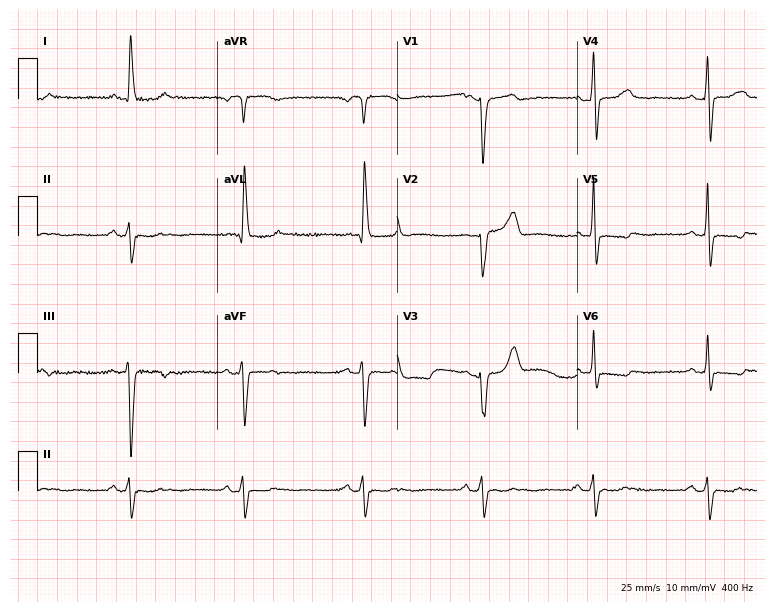
Standard 12-lead ECG recorded from a female, 61 years old (7.3-second recording at 400 Hz). None of these six findings is recorded: first-degree AV block, right bundle branch block (RBBB), left bundle branch block (LBBB), sinus bradycardia, atrial fibrillation (AF), sinus tachycardia. Only these six findings were labelled.